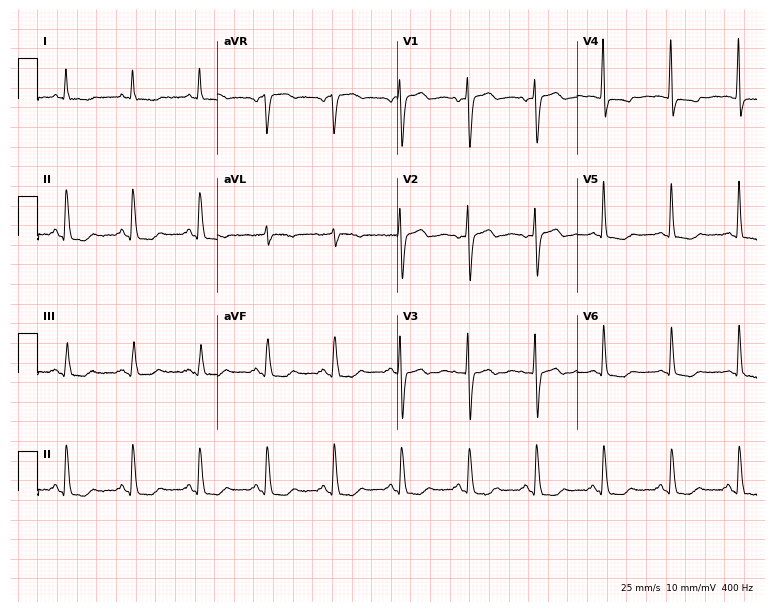
12-lead ECG from a woman, 51 years old. No first-degree AV block, right bundle branch block, left bundle branch block, sinus bradycardia, atrial fibrillation or sinus tachycardia recorded for this tracing.